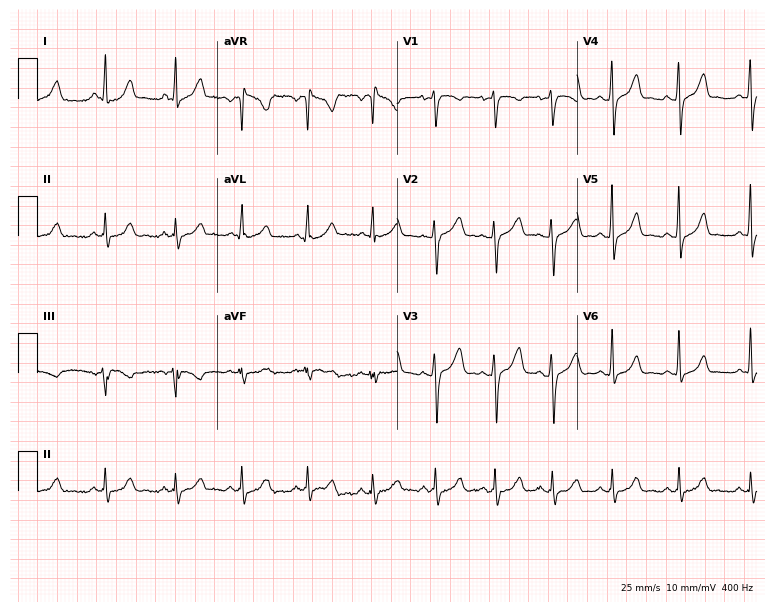
12-lead ECG from a female patient, 33 years old. No first-degree AV block, right bundle branch block (RBBB), left bundle branch block (LBBB), sinus bradycardia, atrial fibrillation (AF) or sinus tachycardia recorded for this tracing.